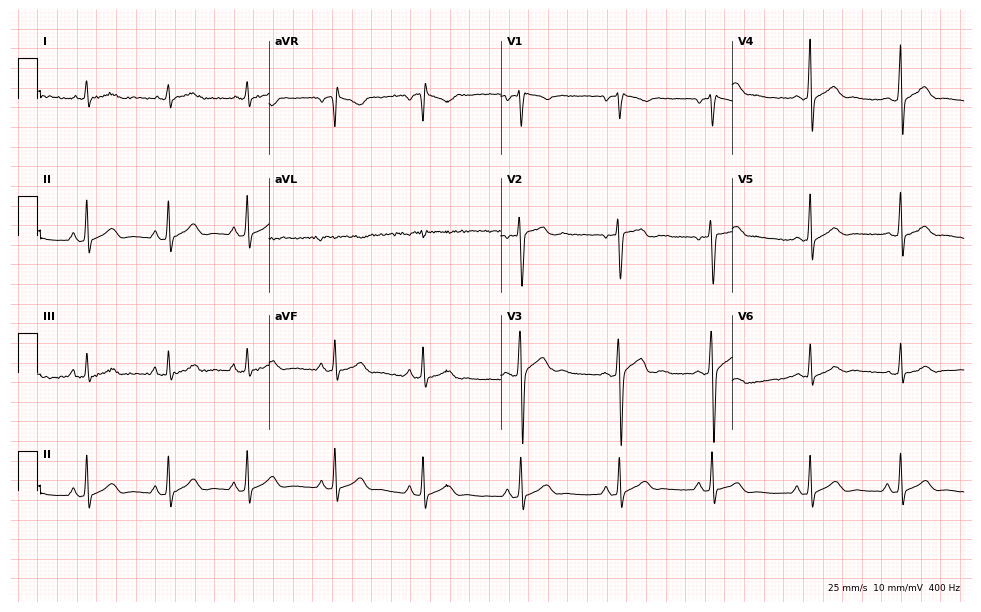
Standard 12-lead ECG recorded from a man, 25 years old. Read as a normal ECG.